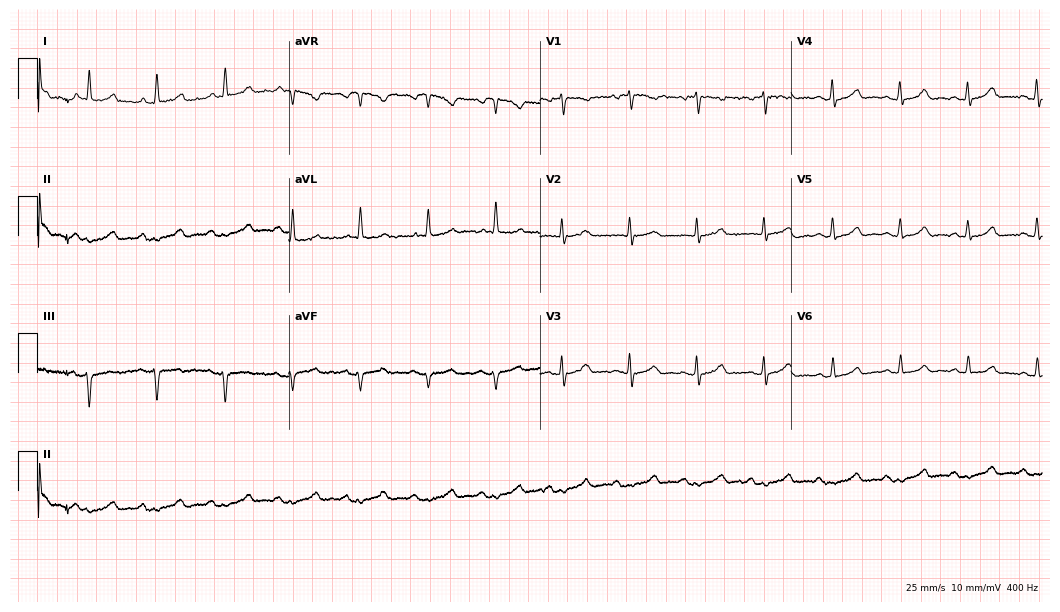
Resting 12-lead electrocardiogram. Patient: an 84-year-old female. Read as a normal ECG.